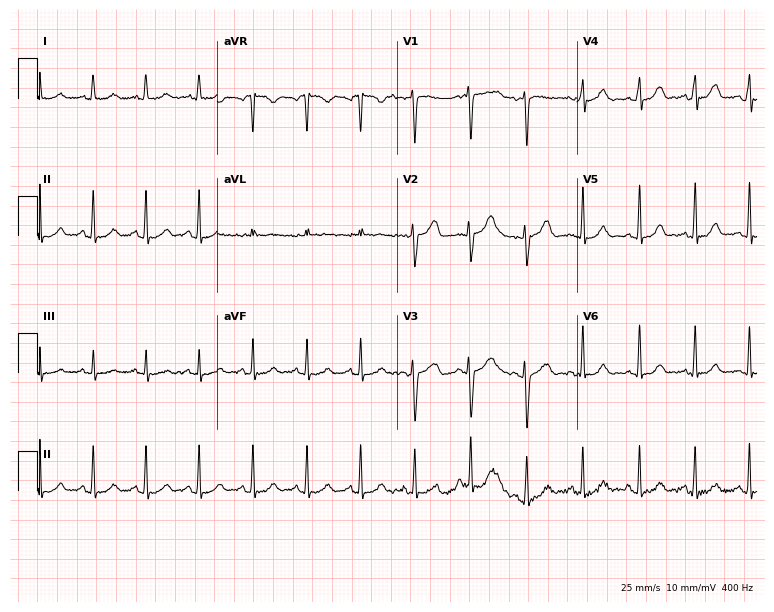
12-lead ECG from a 20-year-old female. Shows sinus tachycardia (a sinus rate of 100 beats per minute or more).